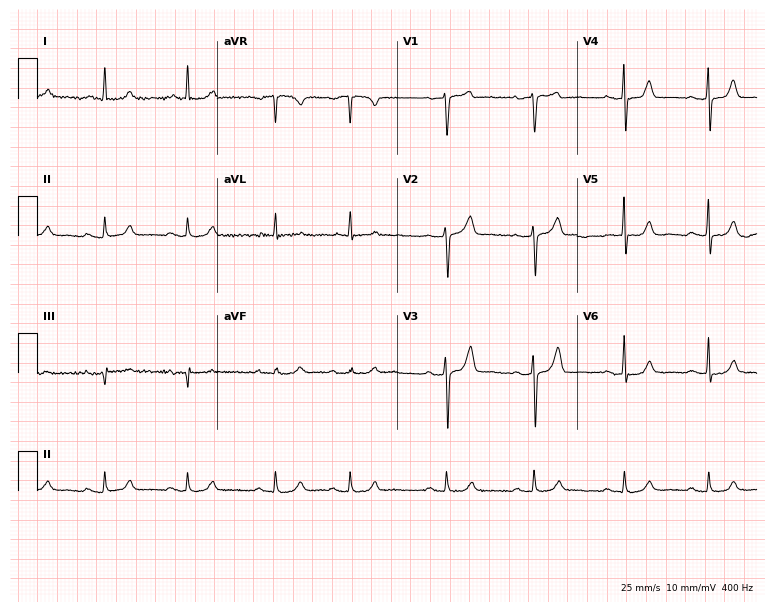
12-lead ECG from a man, 73 years old. Screened for six findings — first-degree AV block, right bundle branch block (RBBB), left bundle branch block (LBBB), sinus bradycardia, atrial fibrillation (AF), sinus tachycardia — none is recorded.